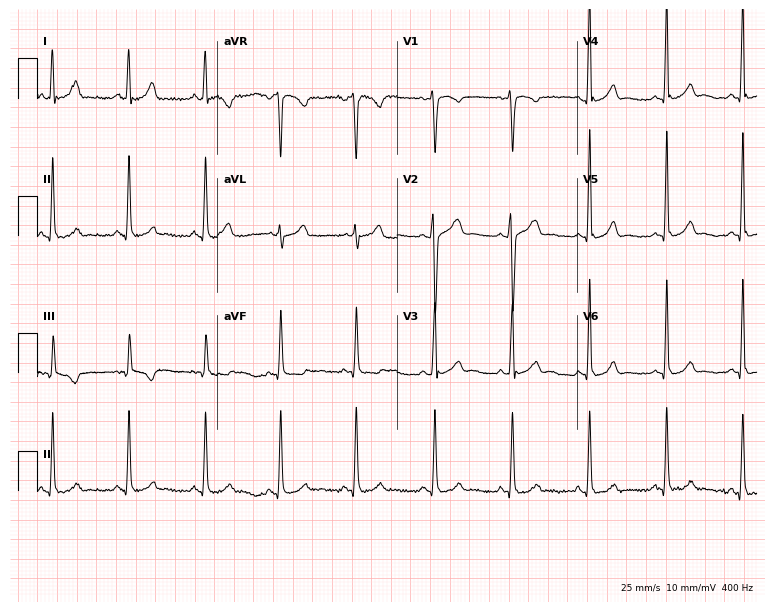
ECG (7.3-second recording at 400 Hz) — a 42-year-old female. Labelled as a normal ECG.